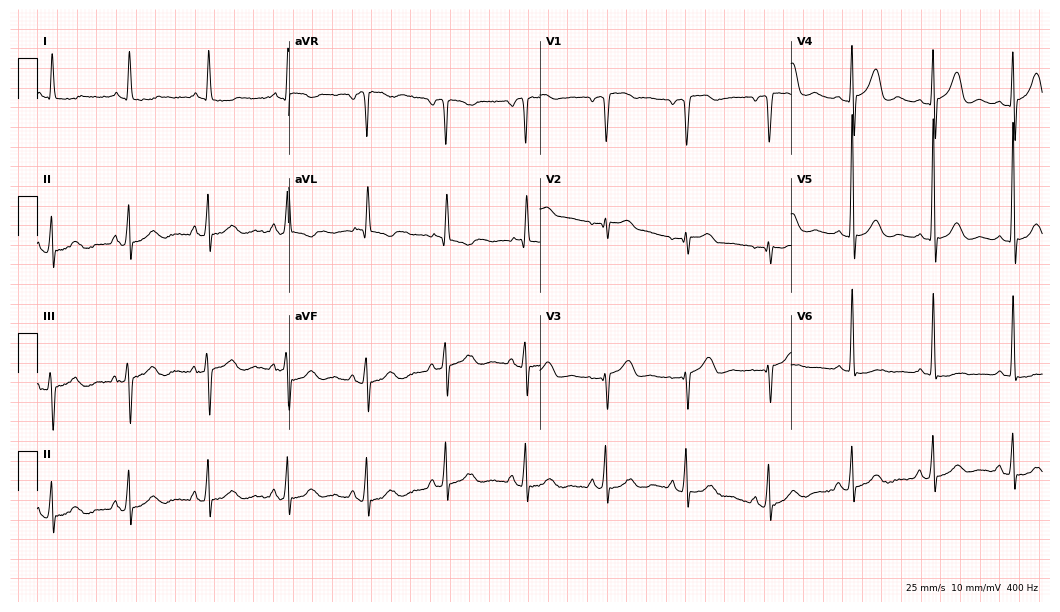
Resting 12-lead electrocardiogram. Patient: a female, 52 years old. Read as a normal ECG.